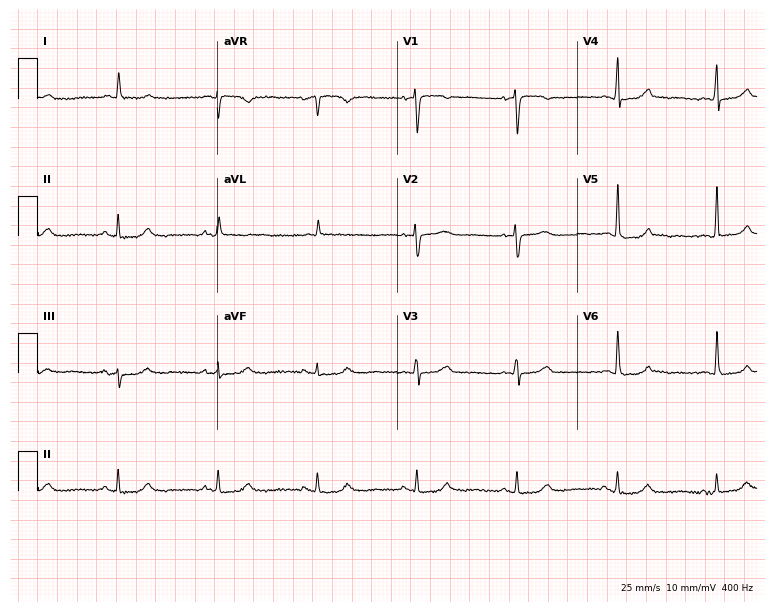
Resting 12-lead electrocardiogram. Patient: a 63-year-old woman. None of these six findings is recorded: first-degree AV block, right bundle branch block, left bundle branch block, sinus bradycardia, atrial fibrillation, sinus tachycardia. Only these six findings were labelled.